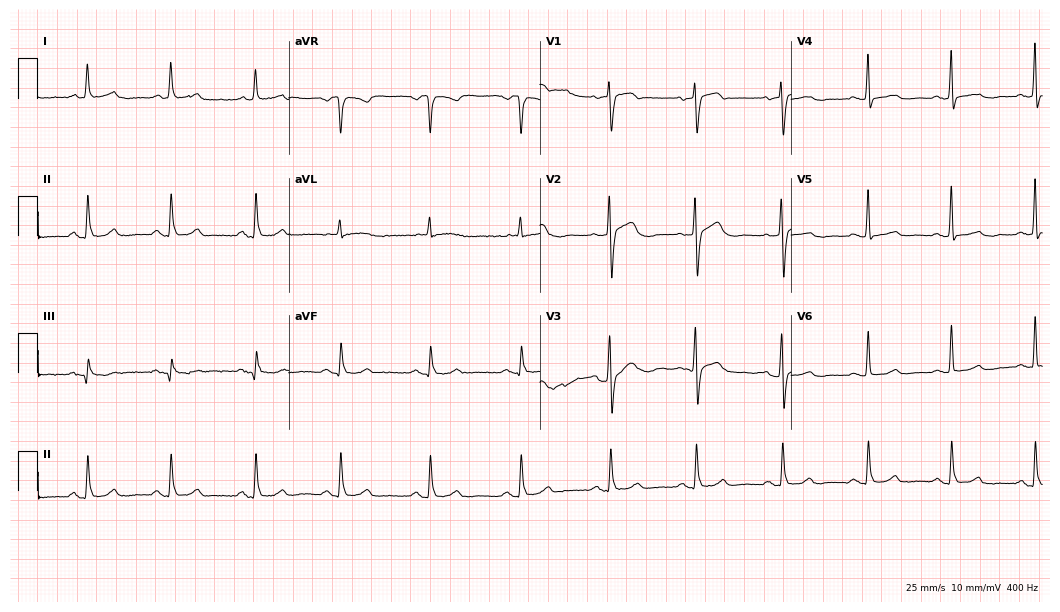
Electrocardiogram, a 67-year-old female. Overall reading on record: normal ECG.